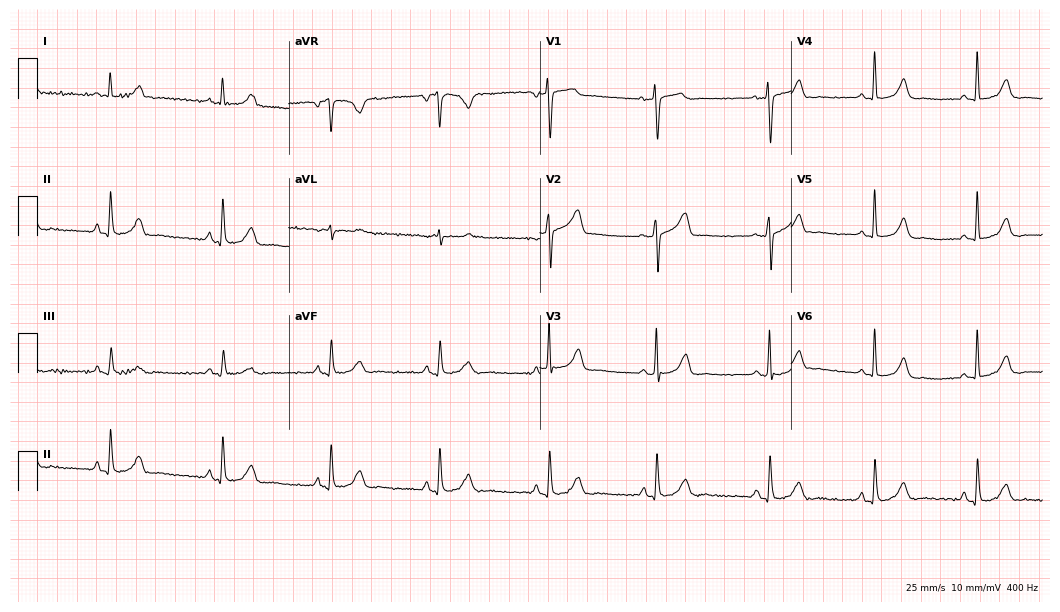
12-lead ECG from a 59-year-old female (10.2-second recording at 400 Hz). Recorded interpretation: within normal limits.